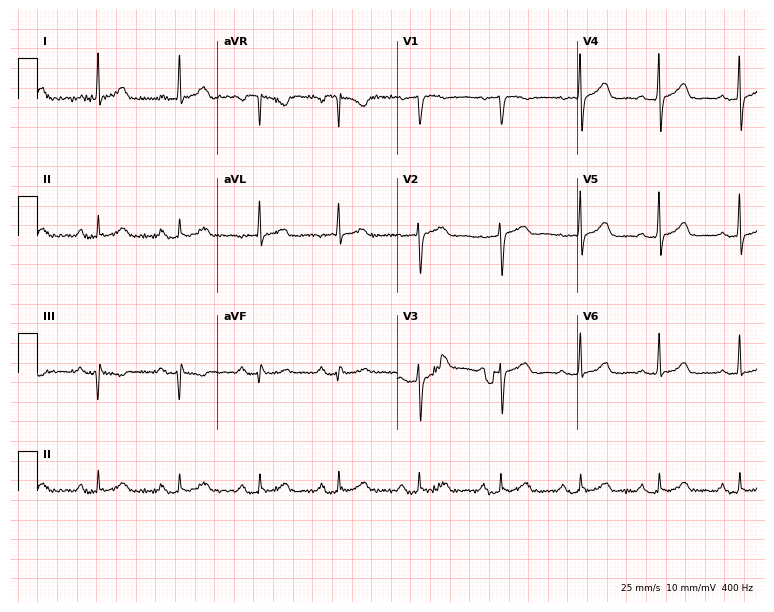
12-lead ECG from a female patient, 61 years old (7.3-second recording at 400 Hz). No first-degree AV block, right bundle branch block (RBBB), left bundle branch block (LBBB), sinus bradycardia, atrial fibrillation (AF) or sinus tachycardia recorded for this tracing.